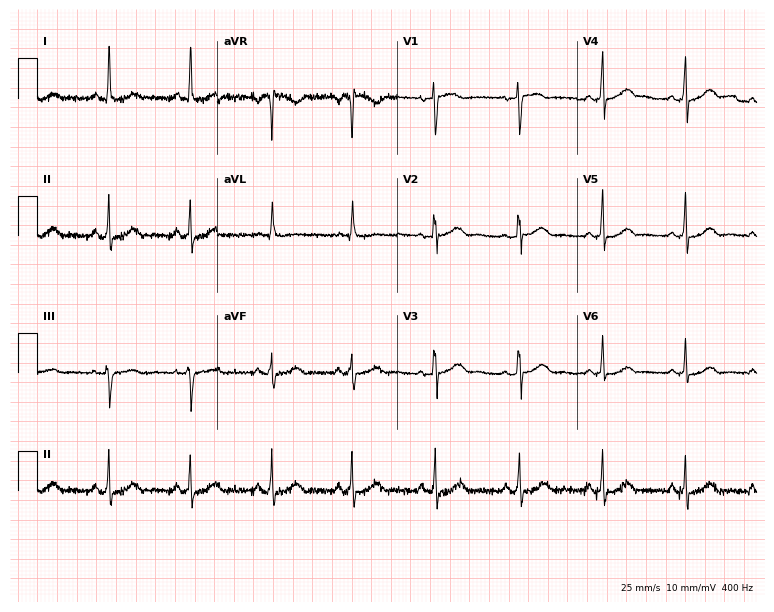
ECG — a woman, 57 years old. Labelled as a normal ECG.